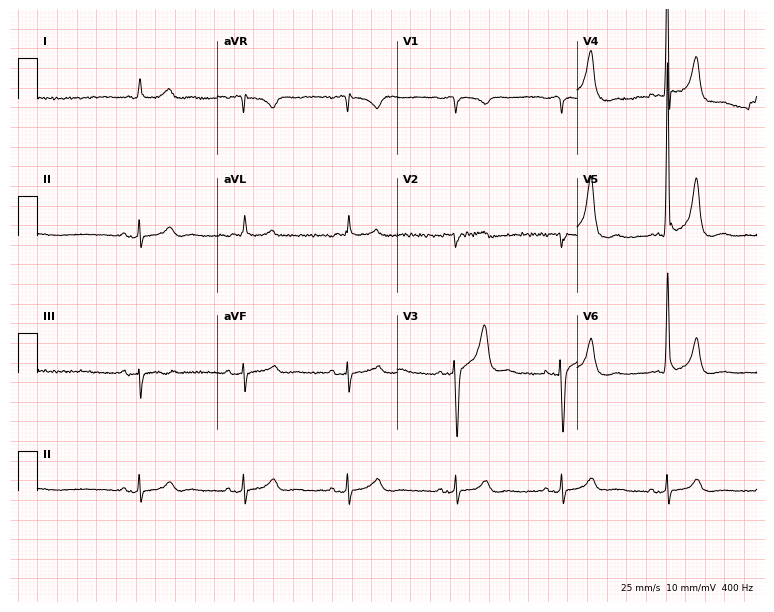
12-lead ECG (7.3-second recording at 400 Hz) from a man, 85 years old. Labelled as a normal ECG.